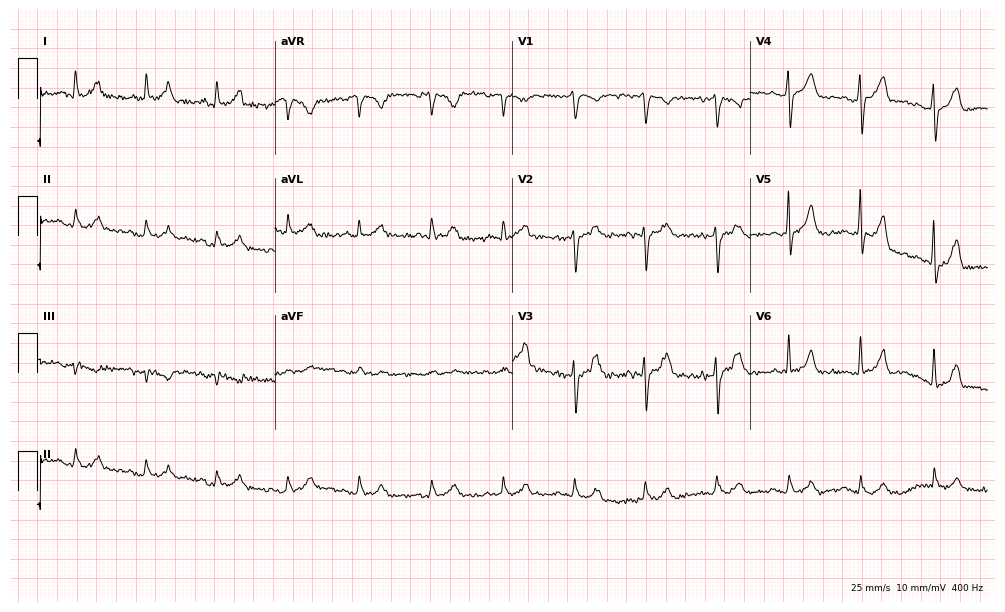
12-lead ECG (9.7-second recording at 400 Hz) from a 67-year-old man. Labelled as a normal ECG.